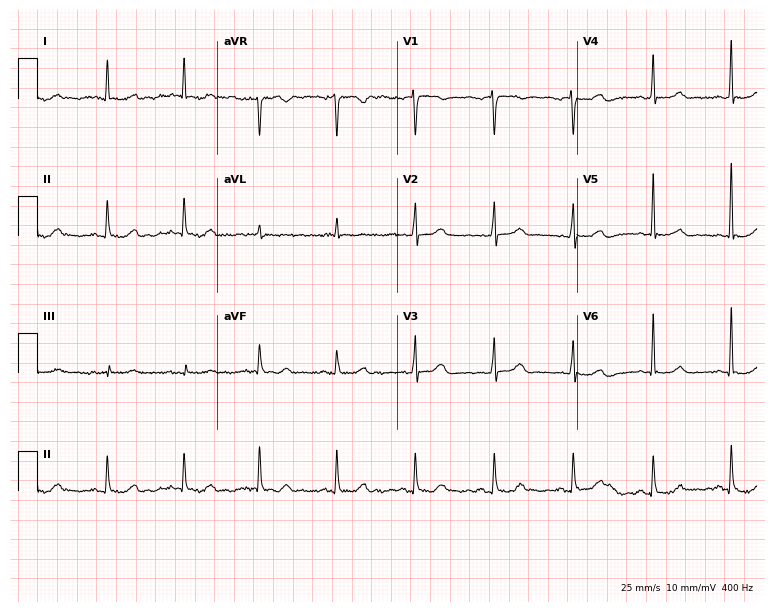
Electrocardiogram (7.3-second recording at 400 Hz), a female patient, 68 years old. Overall reading on record: normal ECG.